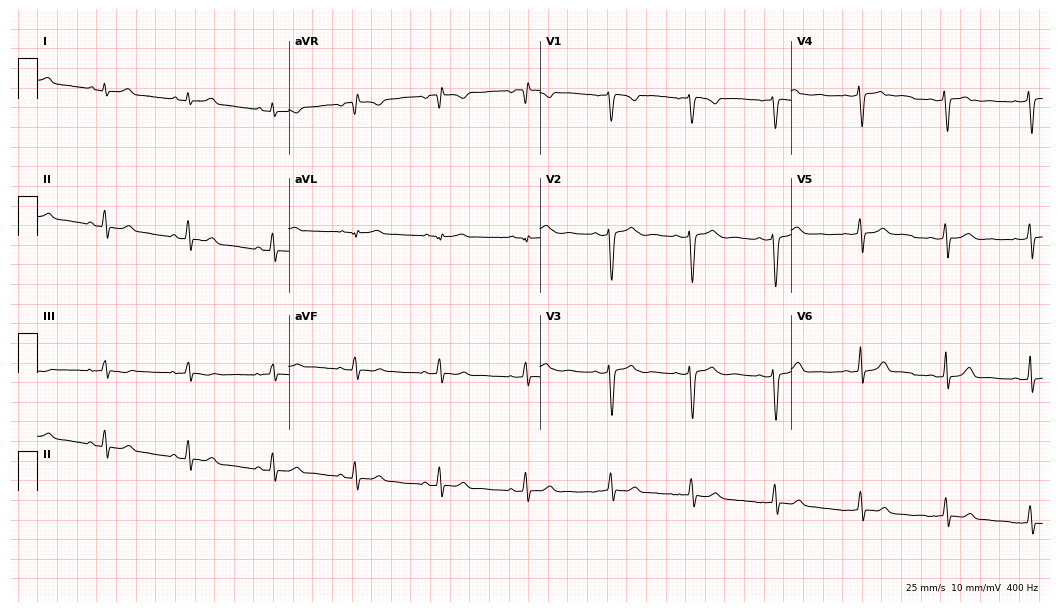
12-lead ECG from a 23-year-old woman (10.2-second recording at 400 Hz). Recorded interpretation: within normal limits.